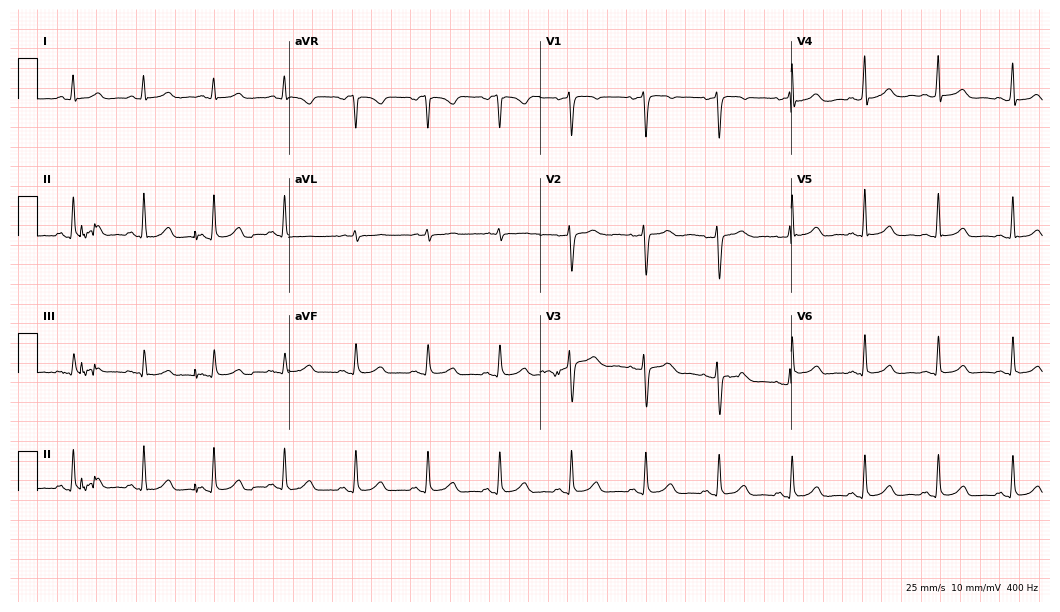
ECG — a 42-year-old female patient. Screened for six findings — first-degree AV block, right bundle branch block, left bundle branch block, sinus bradycardia, atrial fibrillation, sinus tachycardia — none is recorded. Only these six findings were labelled.